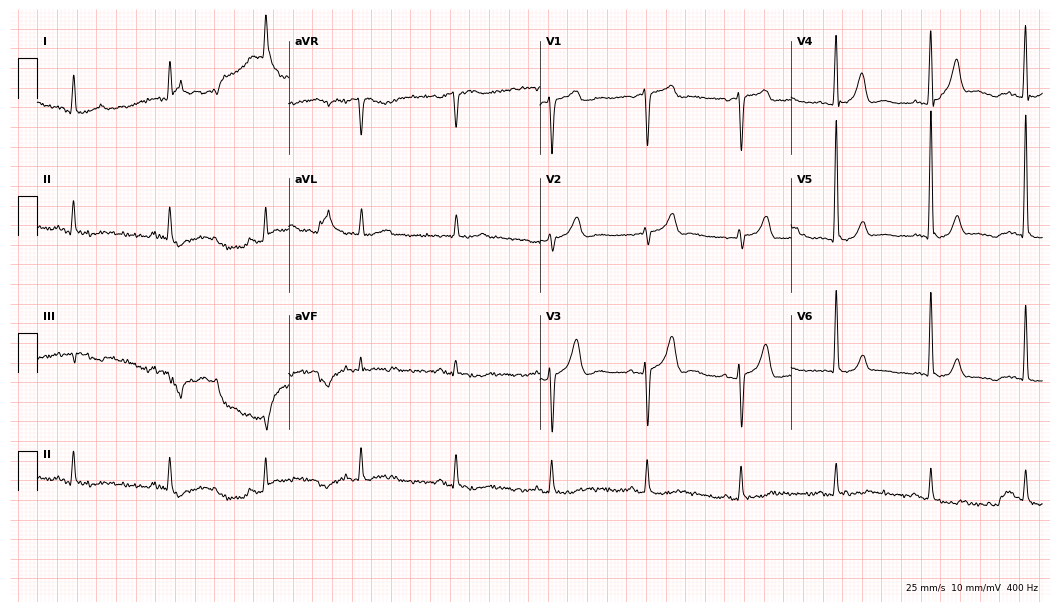
ECG — a 79-year-old male. Screened for six findings — first-degree AV block, right bundle branch block (RBBB), left bundle branch block (LBBB), sinus bradycardia, atrial fibrillation (AF), sinus tachycardia — none is recorded.